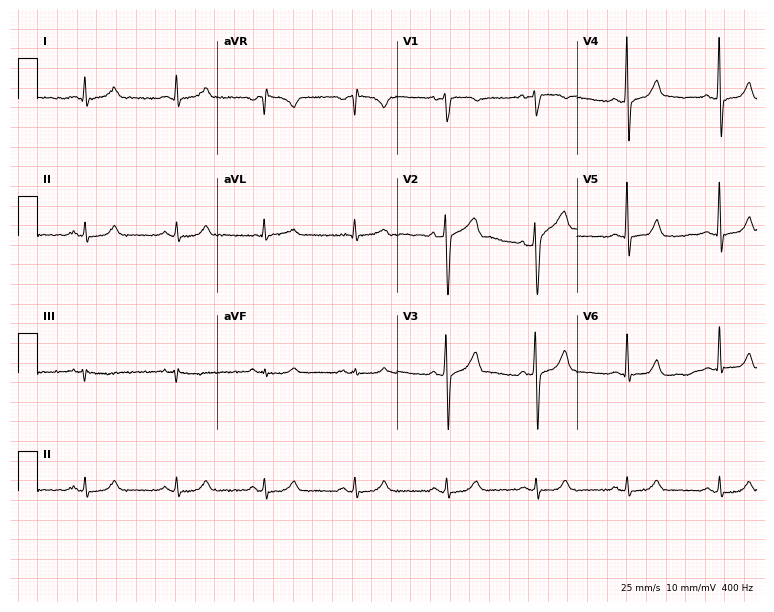
ECG (7.3-second recording at 400 Hz) — a male patient, 58 years old. Labelled as a normal ECG.